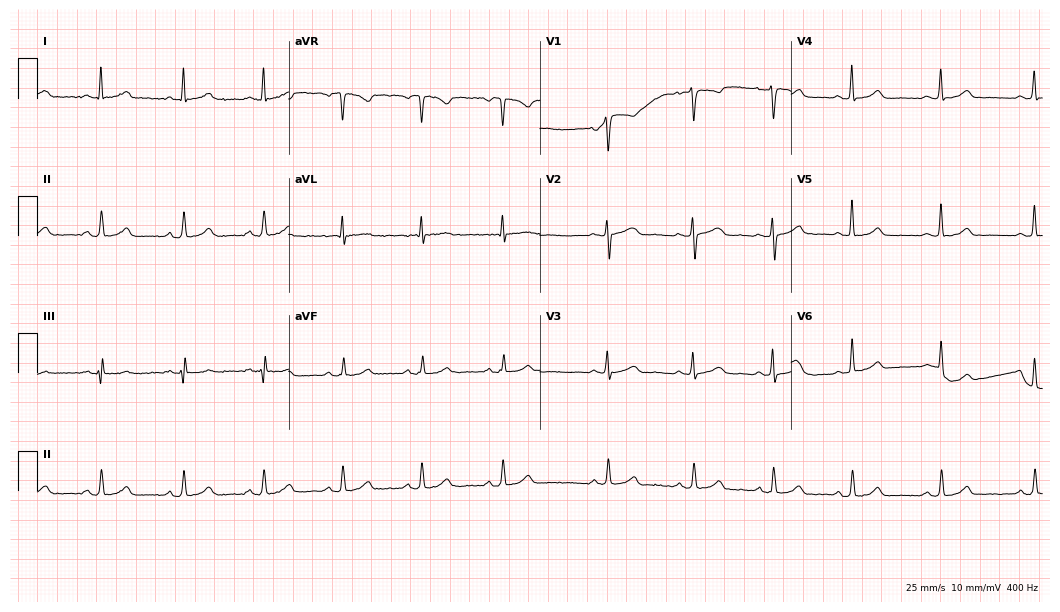
ECG (10.2-second recording at 400 Hz) — a 46-year-old female. Labelled as a normal ECG.